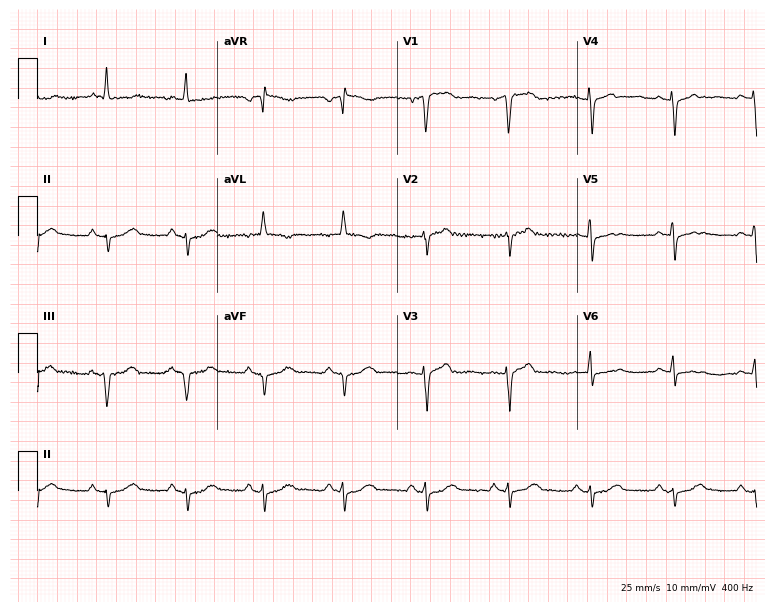
Electrocardiogram (7.3-second recording at 400 Hz), a female, 82 years old. Of the six screened findings (first-degree AV block, right bundle branch block, left bundle branch block, sinus bradycardia, atrial fibrillation, sinus tachycardia), none is recorded.